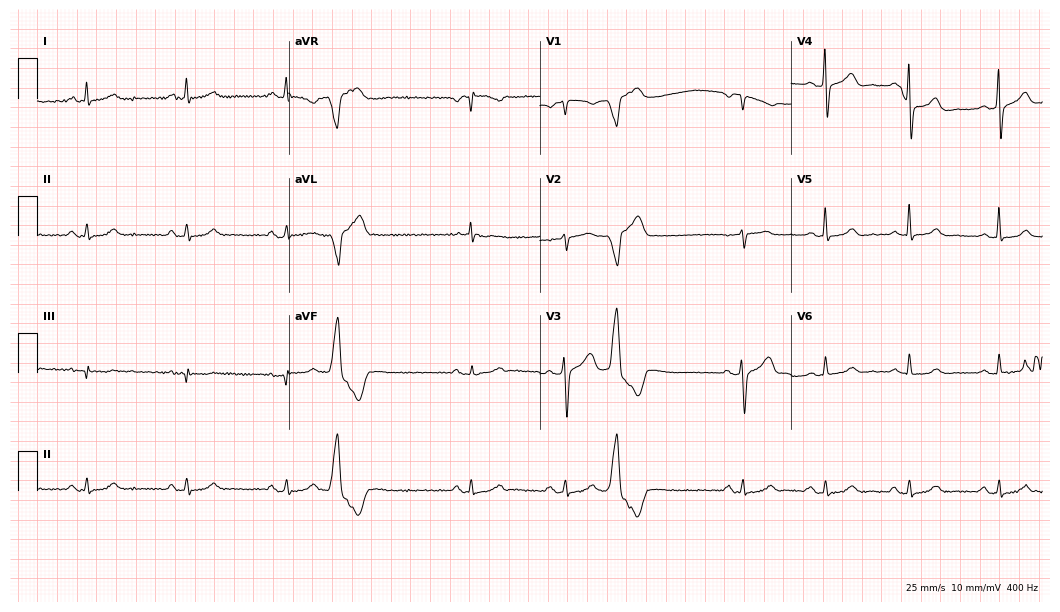
Standard 12-lead ECG recorded from a man, 54 years old (10.2-second recording at 400 Hz). None of these six findings is recorded: first-degree AV block, right bundle branch block, left bundle branch block, sinus bradycardia, atrial fibrillation, sinus tachycardia. Only these six findings were labelled.